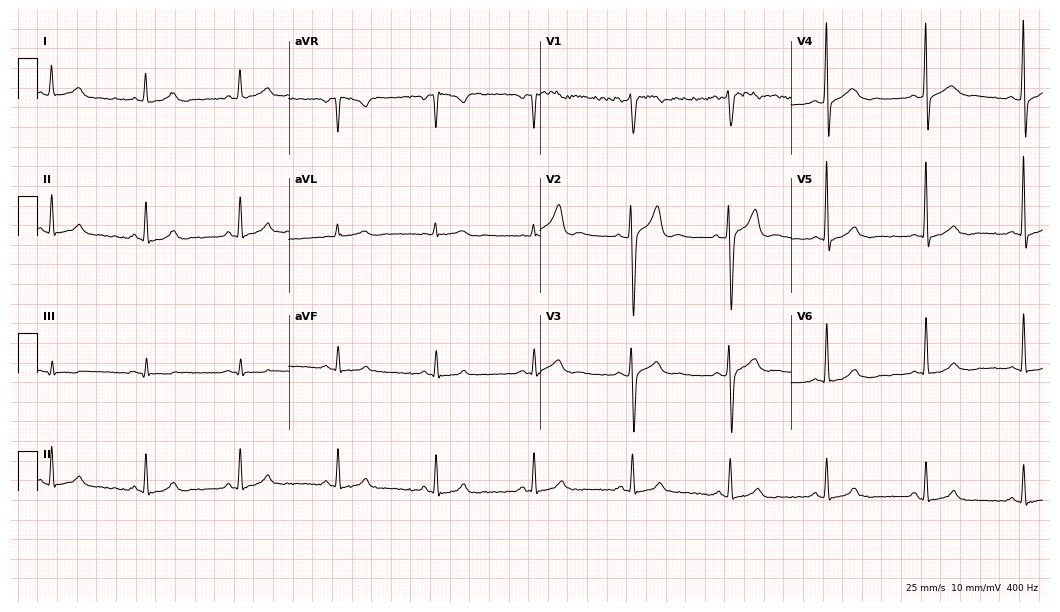
Electrocardiogram (10.2-second recording at 400 Hz), a man, 44 years old. Overall reading on record: normal ECG.